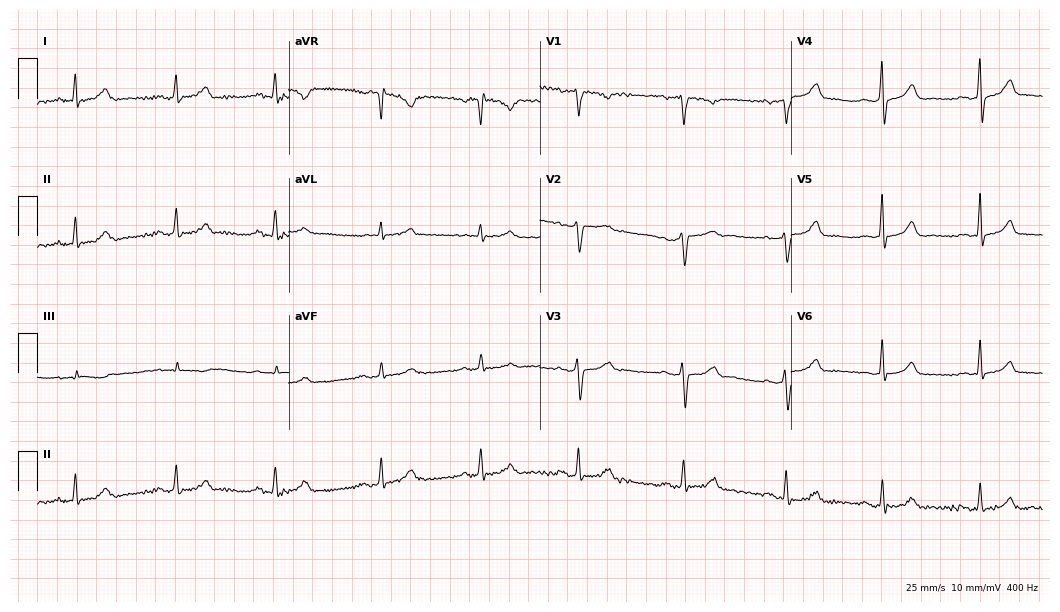
ECG (10.2-second recording at 400 Hz) — a male, 66 years old. Labelled as a normal ECG.